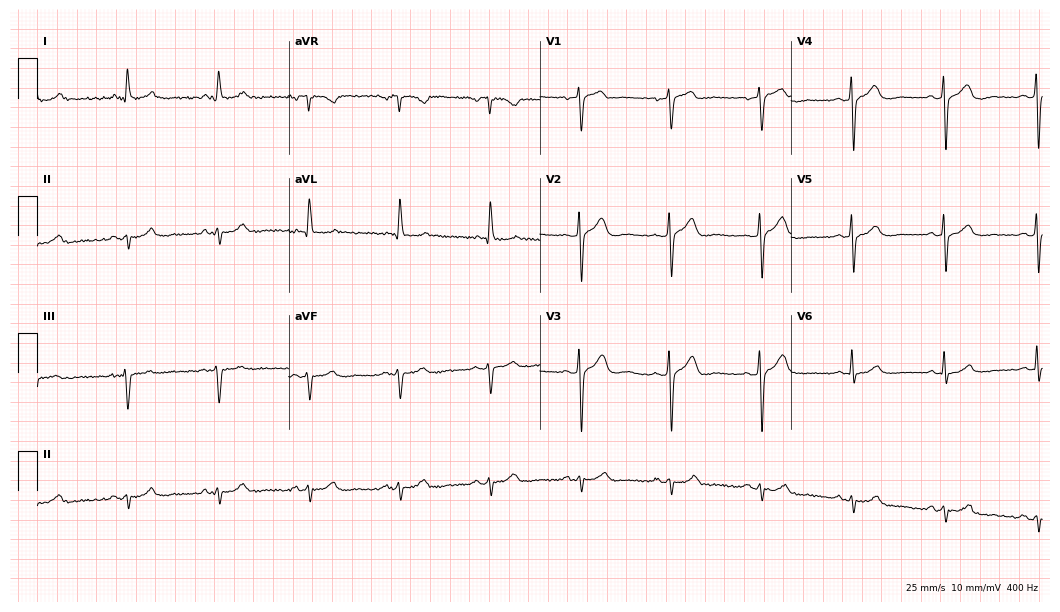
12-lead ECG (10.2-second recording at 400 Hz) from a male, 60 years old. Screened for six findings — first-degree AV block, right bundle branch block, left bundle branch block, sinus bradycardia, atrial fibrillation, sinus tachycardia — none is recorded. Findings outside these six are not listed.